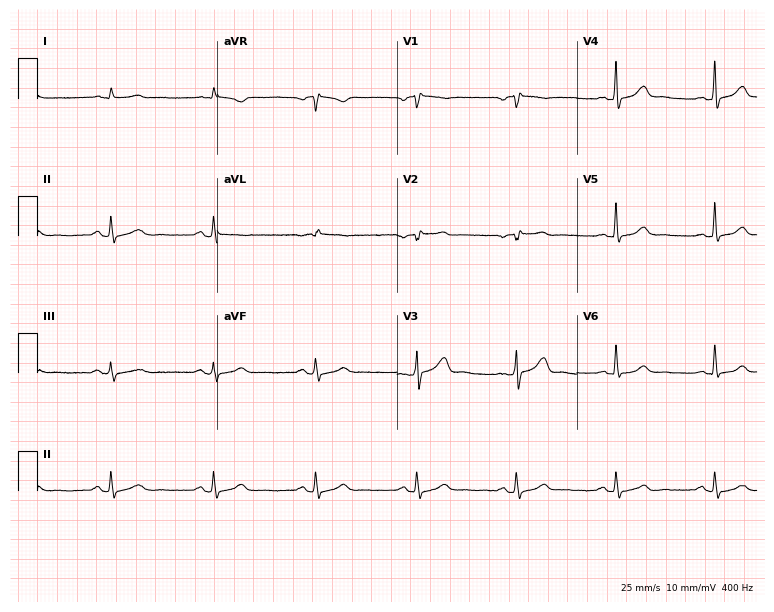
Electrocardiogram (7.3-second recording at 400 Hz), a 71-year-old male patient. Of the six screened findings (first-degree AV block, right bundle branch block, left bundle branch block, sinus bradycardia, atrial fibrillation, sinus tachycardia), none is recorded.